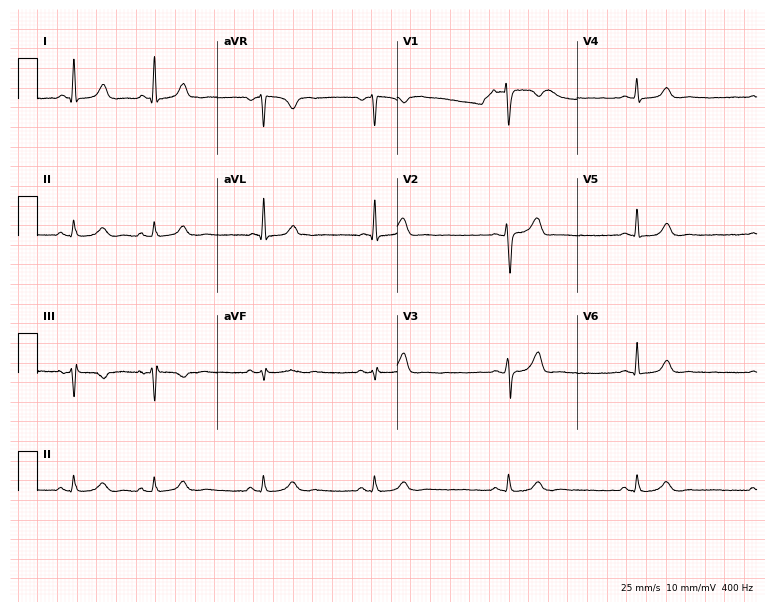
ECG — a woman, 48 years old. Labelled as a normal ECG.